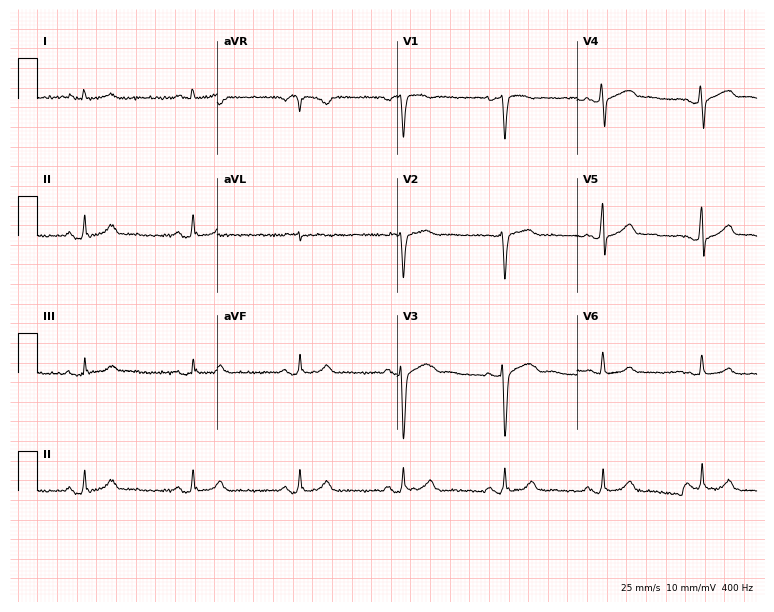
Resting 12-lead electrocardiogram (7.3-second recording at 400 Hz). Patient: a 65-year-old male. None of these six findings is recorded: first-degree AV block, right bundle branch block (RBBB), left bundle branch block (LBBB), sinus bradycardia, atrial fibrillation (AF), sinus tachycardia.